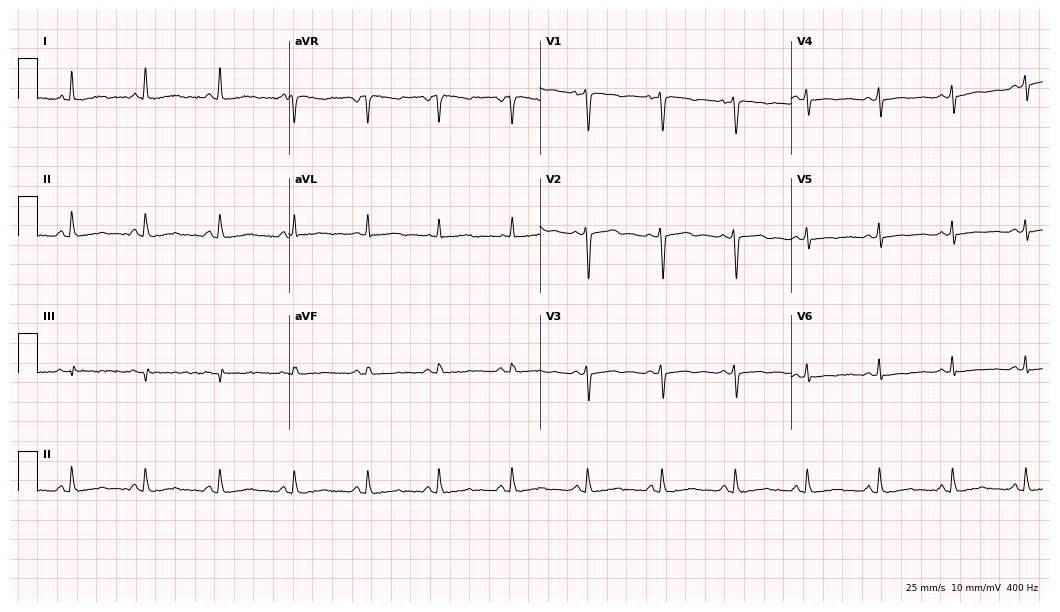
Standard 12-lead ECG recorded from a female, 35 years old. None of these six findings is recorded: first-degree AV block, right bundle branch block, left bundle branch block, sinus bradycardia, atrial fibrillation, sinus tachycardia.